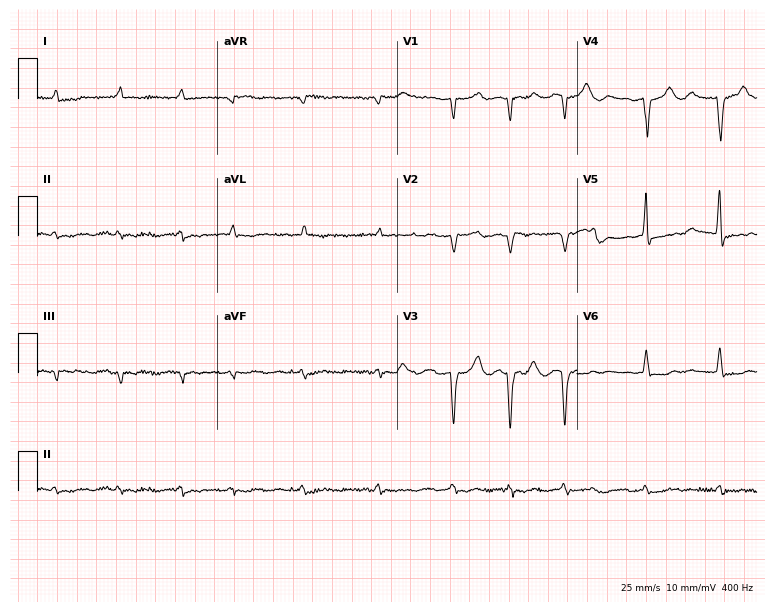
Resting 12-lead electrocardiogram. Patient: an 84-year-old man. The tracing shows atrial fibrillation.